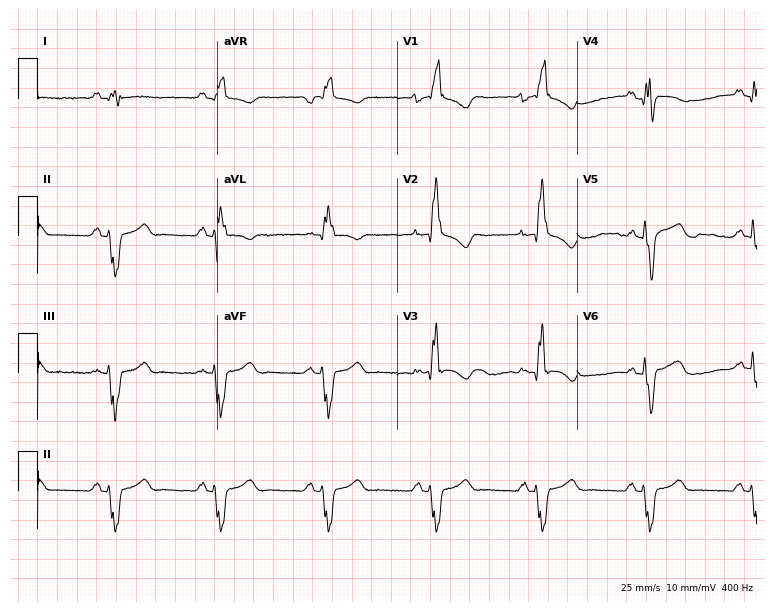
12-lead ECG from a 66-year-old male. Shows right bundle branch block (RBBB).